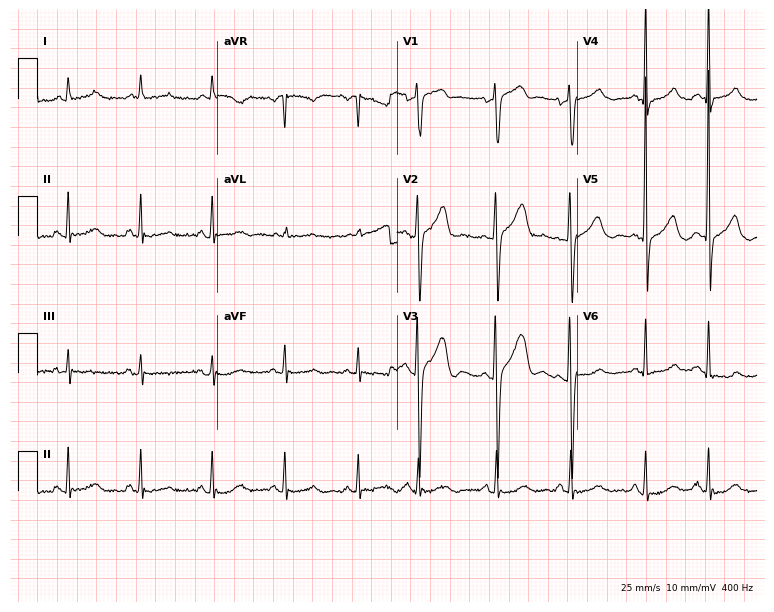
Standard 12-lead ECG recorded from a 66-year-old man. None of these six findings is recorded: first-degree AV block, right bundle branch block, left bundle branch block, sinus bradycardia, atrial fibrillation, sinus tachycardia.